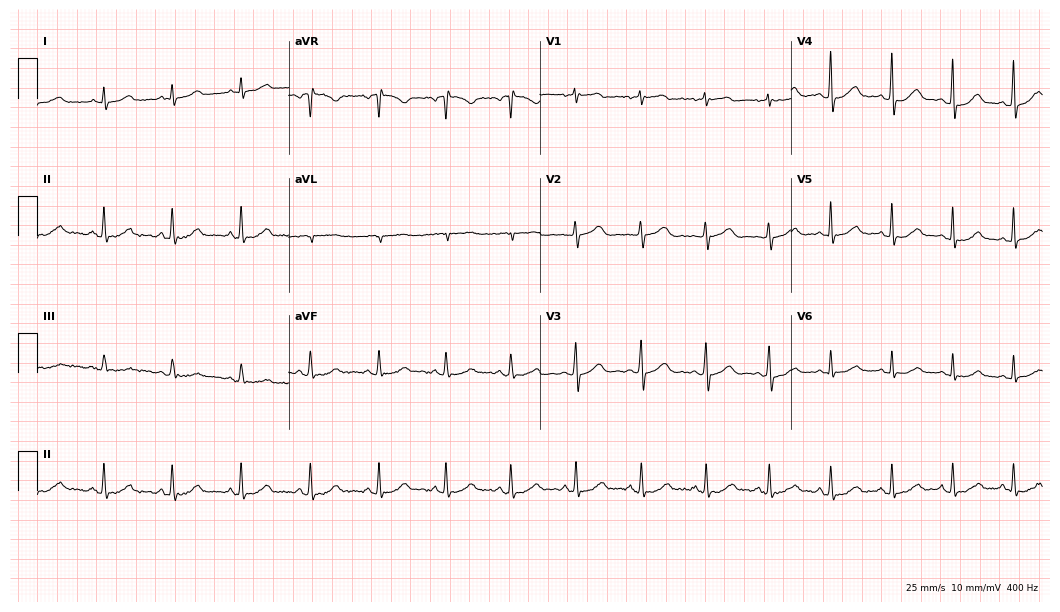
12-lead ECG from a woman, 47 years old. Screened for six findings — first-degree AV block, right bundle branch block, left bundle branch block, sinus bradycardia, atrial fibrillation, sinus tachycardia — none is recorded. Only these six findings were labelled.